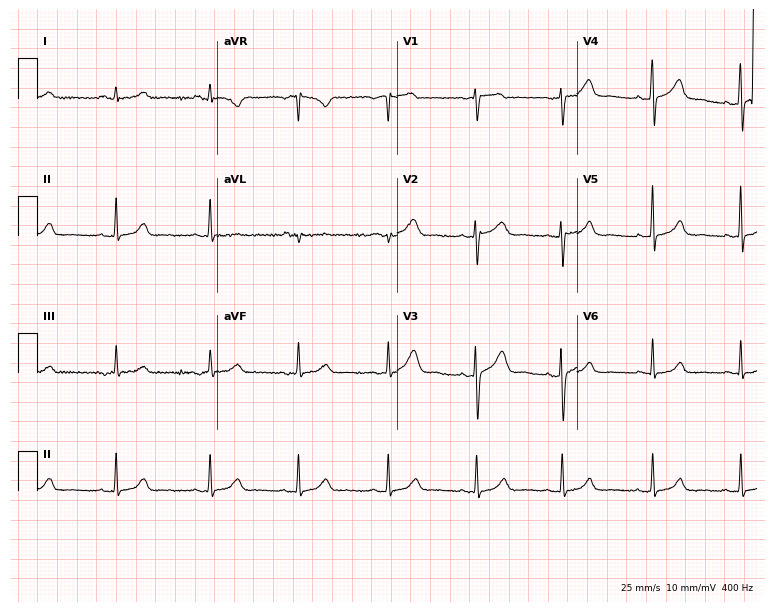
Standard 12-lead ECG recorded from a female patient, 40 years old (7.3-second recording at 400 Hz). None of these six findings is recorded: first-degree AV block, right bundle branch block (RBBB), left bundle branch block (LBBB), sinus bradycardia, atrial fibrillation (AF), sinus tachycardia.